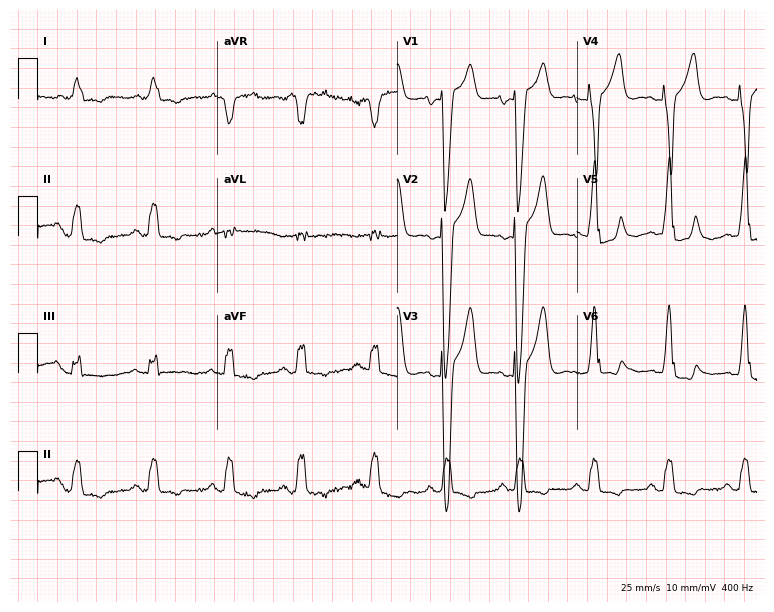
Electrocardiogram, a male, 75 years old. Interpretation includes left bundle branch block (LBBB).